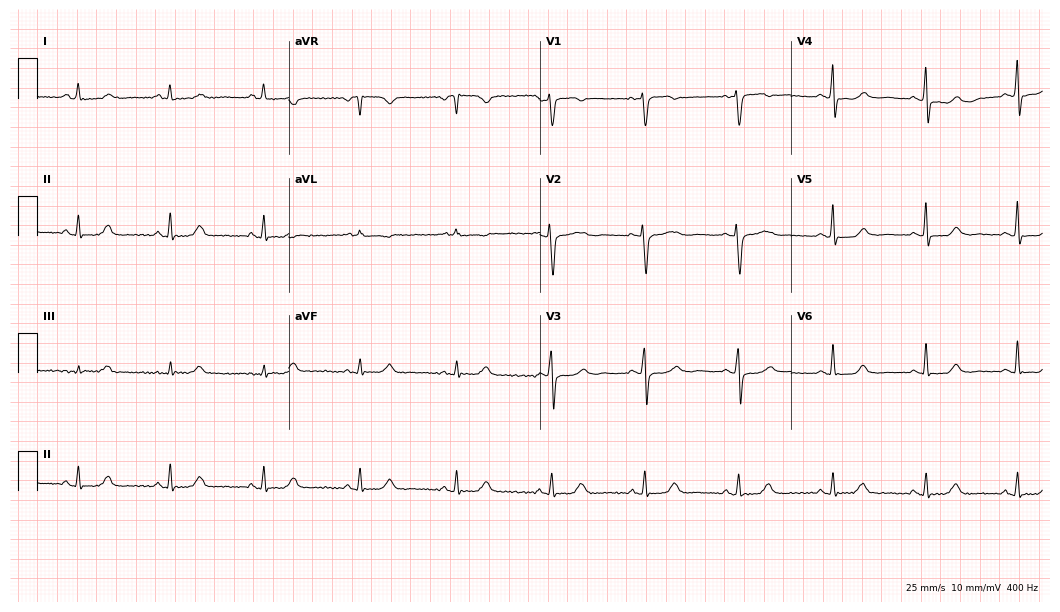
12-lead ECG from a woman, 59 years old. No first-degree AV block, right bundle branch block, left bundle branch block, sinus bradycardia, atrial fibrillation or sinus tachycardia recorded for this tracing.